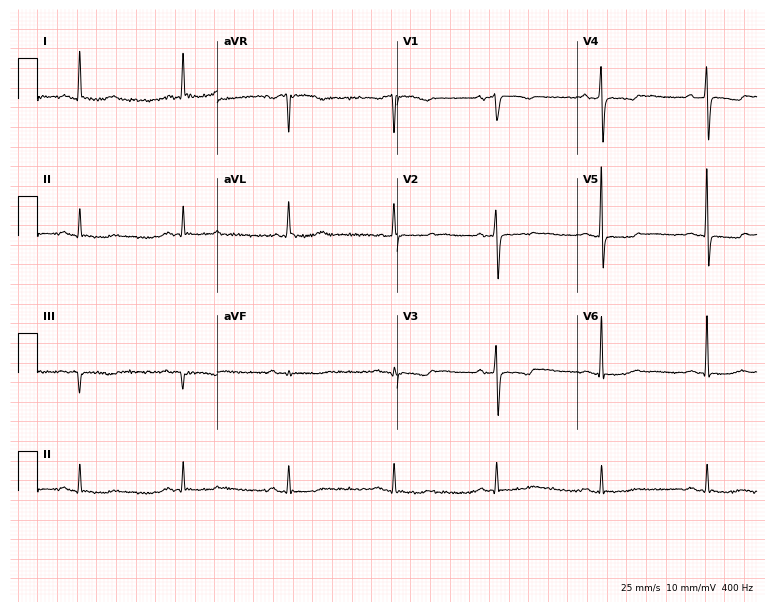
12-lead ECG (7.3-second recording at 400 Hz) from an 84-year-old woman. Screened for six findings — first-degree AV block, right bundle branch block, left bundle branch block, sinus bradycardia, atrial fibrillation, sinus tachycardia — none is recorded.